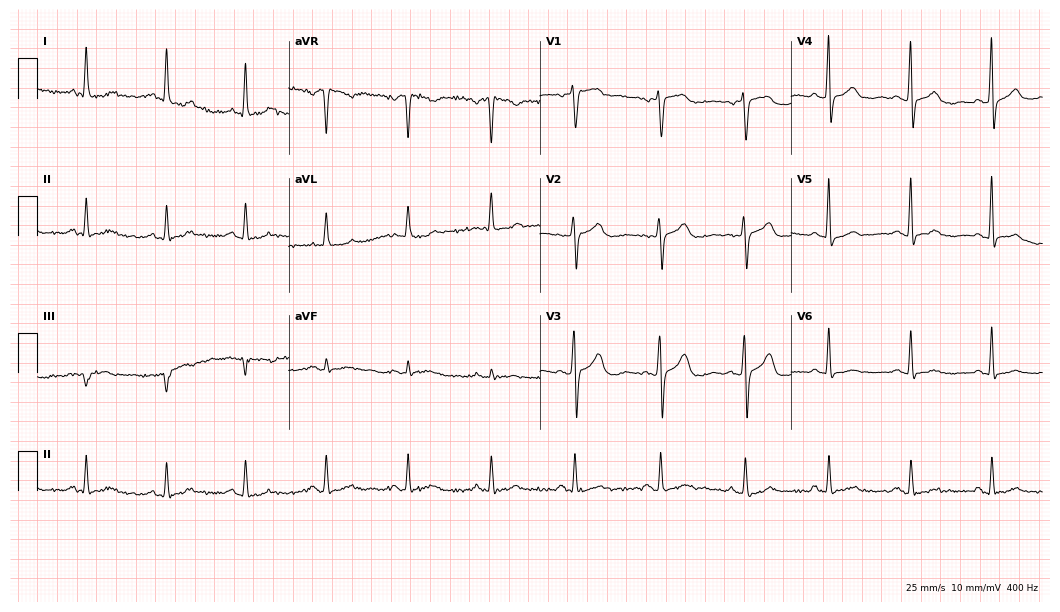
Standard 12-lead ECG recorded from a female patient, 83 years old. None of these six findings is recorded: first-degree AV block, right bundle branch block, left bundle branch block, sinus bradycardia, atrial fibrillation, sinus tachycardia. Other findings, if any, are not listed.